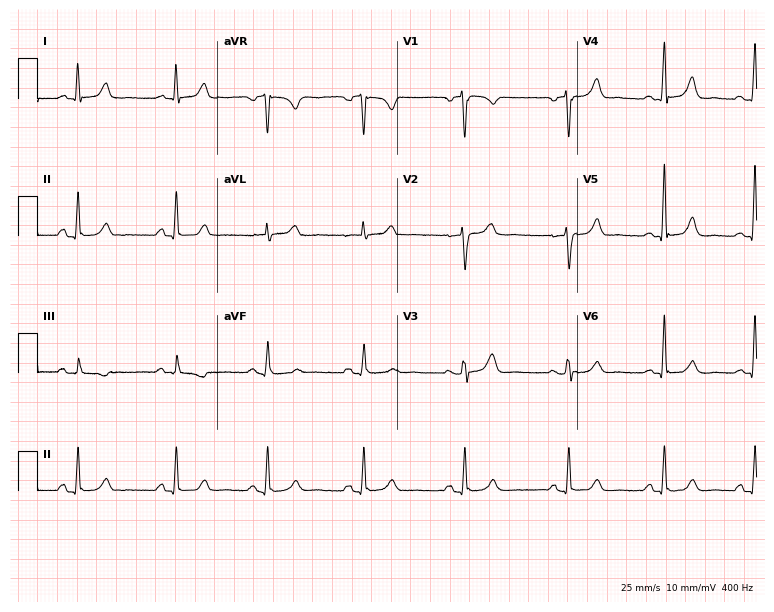
12-lead ECG from a female, 50 years old. Screened for six findings — first-degree AV block, right bundle branch block, left bundle branch block, sinus bradycardia, atrial fibrillation, sinus tachycardia — none is recorded. Other findings, if any, are not listed.